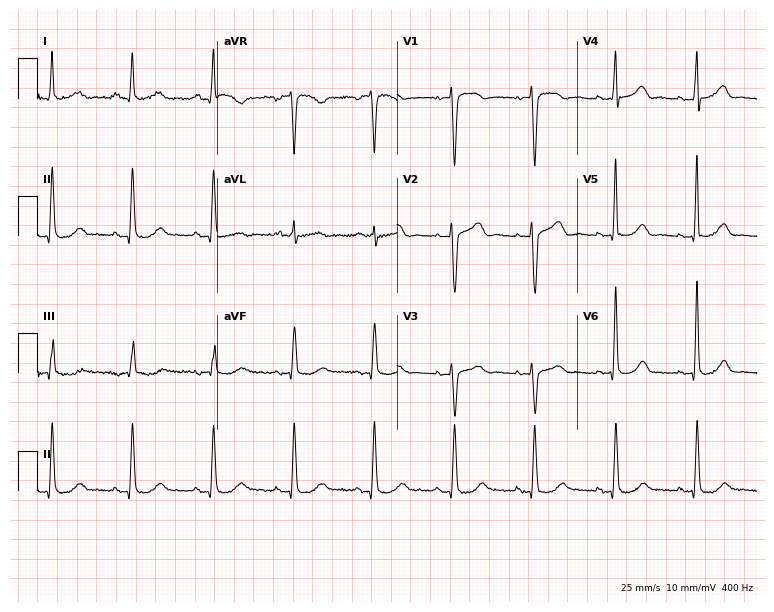
Electrocardiogram (7.3-second recording at 400 Hz), a female patient, 67 years old. Overall reading on record: normal ECG.